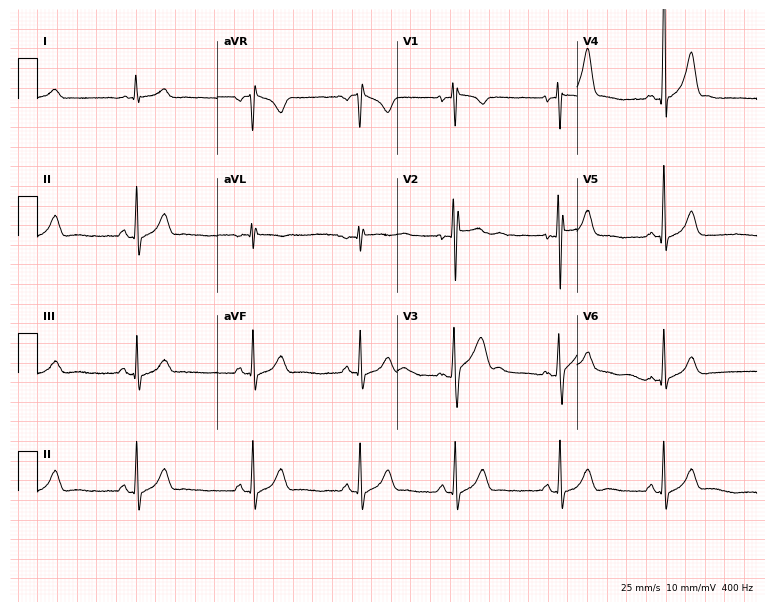
Electrocardiogram, a 19-year-old man. Overall reading on record: normal ECG.